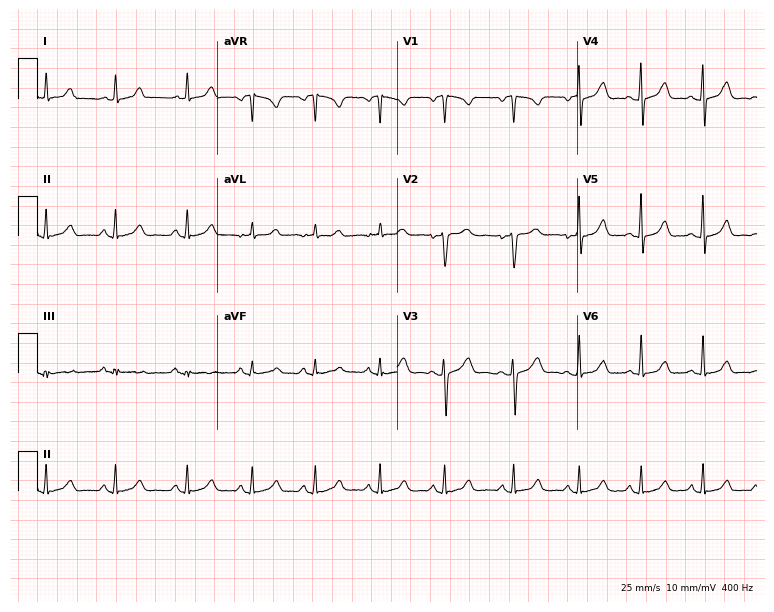
12-lead ECG from an 18-year-old female. No first-degree AV block, right bundle branch block (RBBB), left bundle branch block (LBBB), sinus bradycardia, atrial fibrillation (AF) or sinus tachycardia recorded for this tracing.